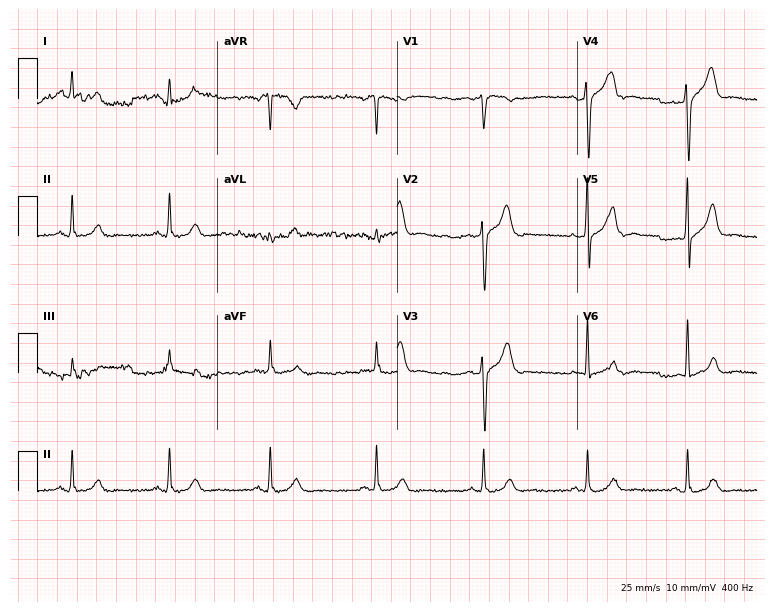
ECG (7.3-second recording at 400 Hz) — a 61-year-old male. Labelled as a normal ECG.